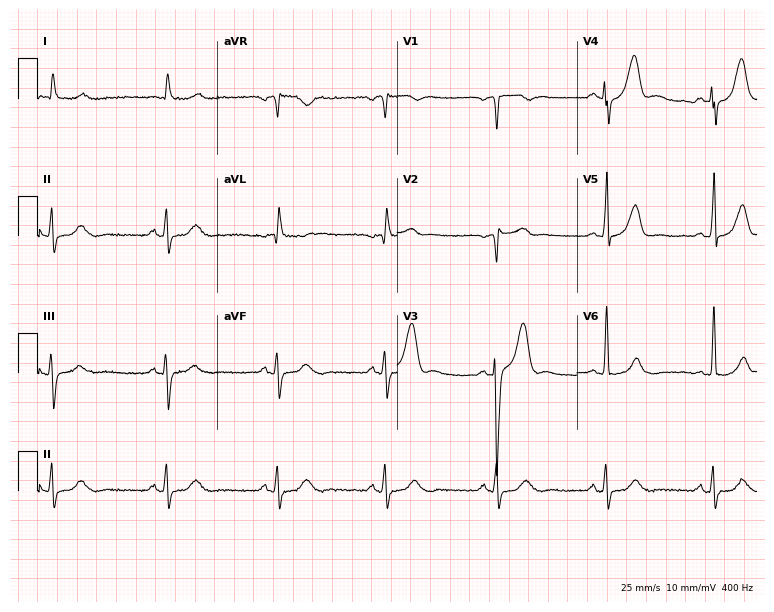
Standard 12-lead ECG recorded from a male patient, 70 years old. None of these six findings is recorded: first-degree AV block, right bundle branch block, left bundle branch block, sinus bradycardia, atrial fibrillation, sinus tachycardia.